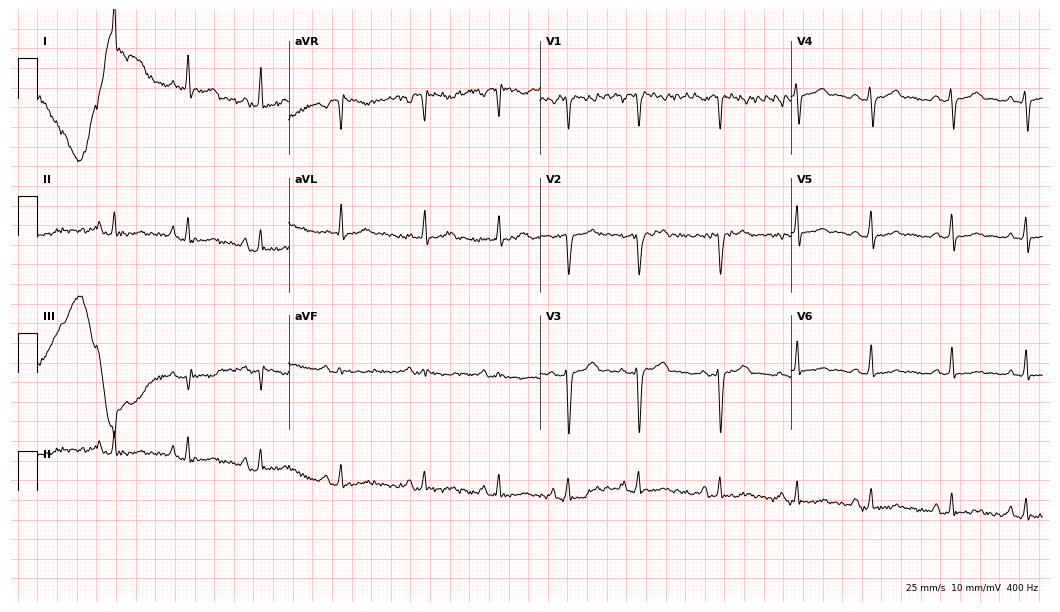
Resting 12-lead electrocardiogram. Patient: a 35-year-old woman. None of these six findings is recorded: first-degree AV block, right bundle branch block, left bundle branch block, sinus bradycardia, atrial fibrillation, sinus tachycardia. Other findings, if any, are not listed.